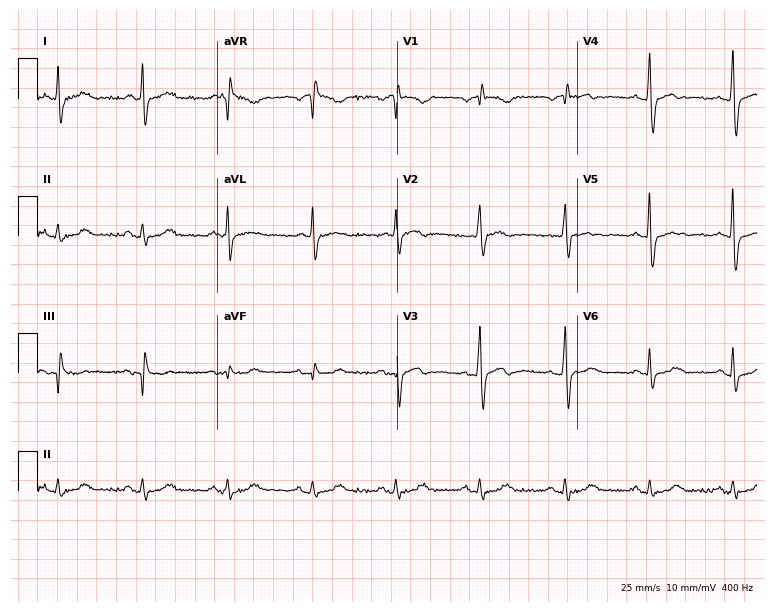
Resting 12-lead electrocardiogram (7.3-second recording at 400 Hz). Patient: a 70-year-old male. None of these six findings is recorded: first-degree AV block, right bundle branch block, left bundle branch block, sinus bradycardia, atrial fibrillation, sinus tachycardia. Findings outside these six are not listed.